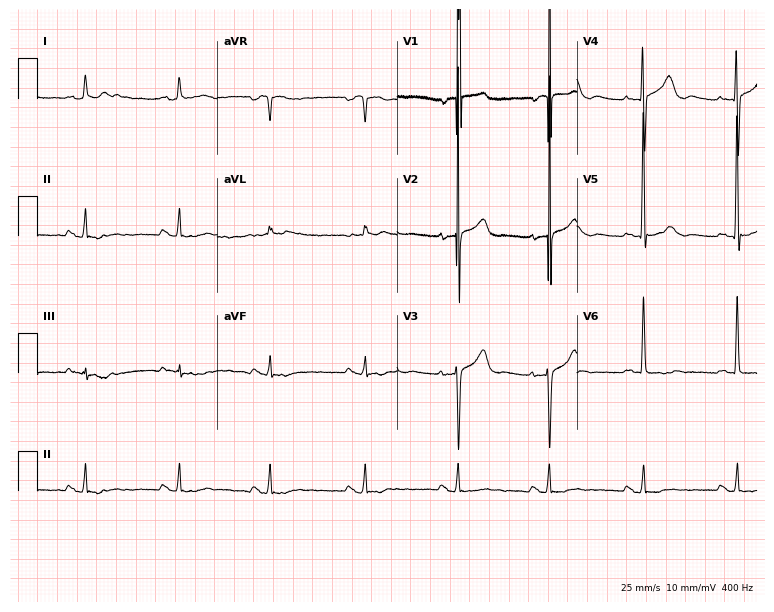
Electrocardiogram (7.3-second recording at 400 Hz), a 53-year-old man. Of the six screened findings (first-degree AV block, right bundle branch block, left bundle branch block, sinus bradycardia, atrial fibrillation, sinus tachycardia), none is recorded.